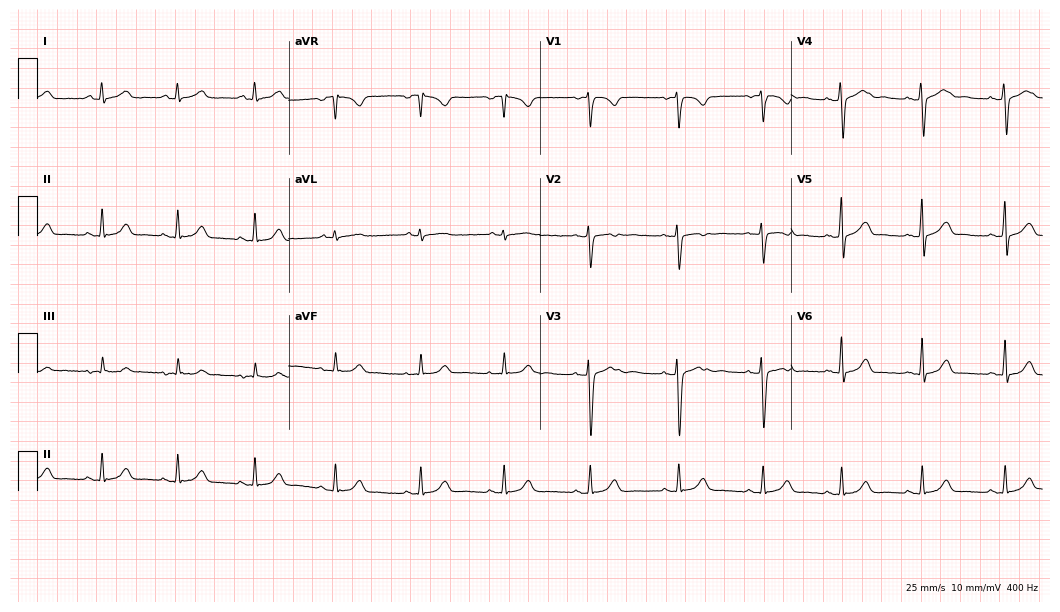
Electrocardiogram (10.2-second recording at 400 Hz), a woman, 35 years old. Of the six screened findings (first-degree AV block, right bundle branch block, left bundle branch block, sinus bradycardia, atrial fibrillation, sinus tachycardia), none is recorded.